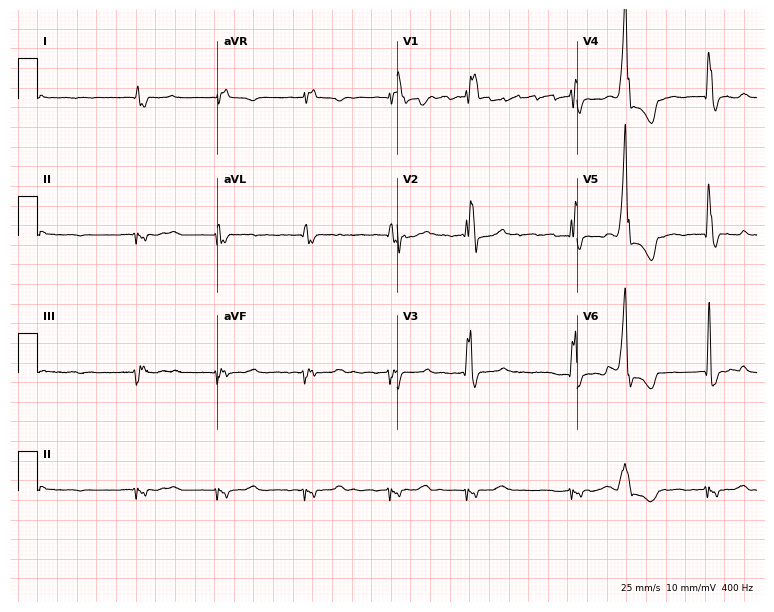
Resting 12-lead electrocardiogram (7.3-second recording at 400 Hz). Patient: a male, 62 years old. The tracing shows right bundle branch block, atrial fibrillation.